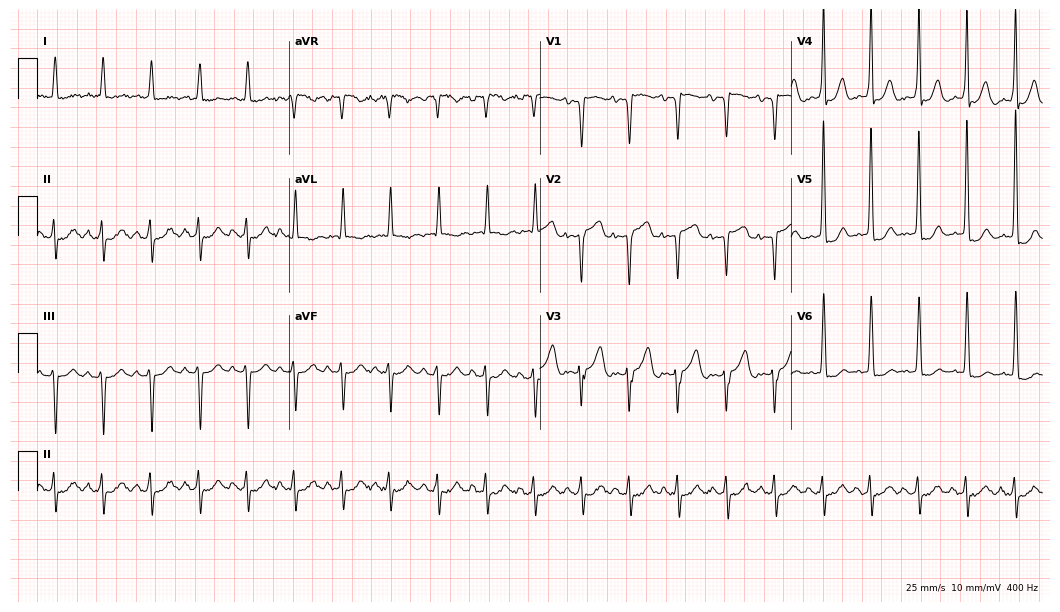
12-lead ECG from a male patient, 59 years old. Shows sinus tachycardia (a sinus rate of 100 beats per minute or more).